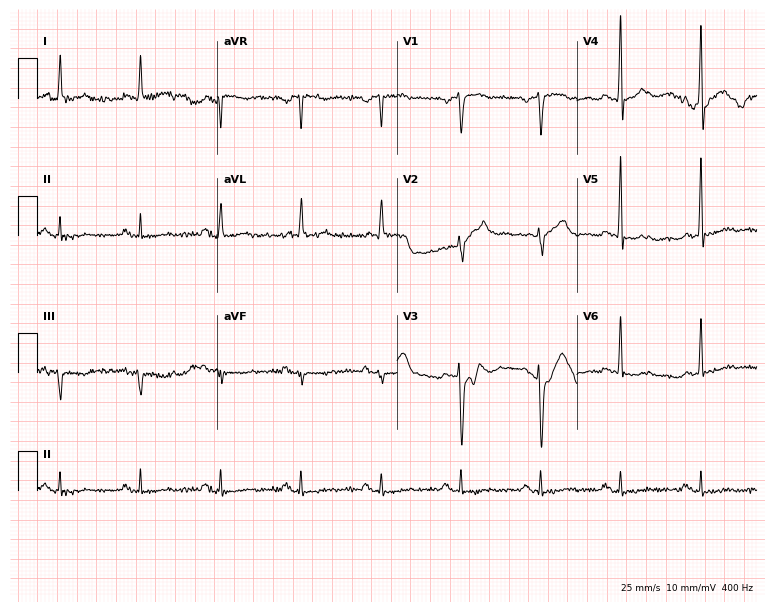
Standard 12-lead ECG recorded from a male patient, 72 years old (7.3-second recording at 400 Hz). None of these six findings is recorded: first-degree AV block, right bundle branch block (RBBB), left bundle branch block (LBBB), sinus bradycardia, atrial fibrillation (AF), sinus tachycardia.